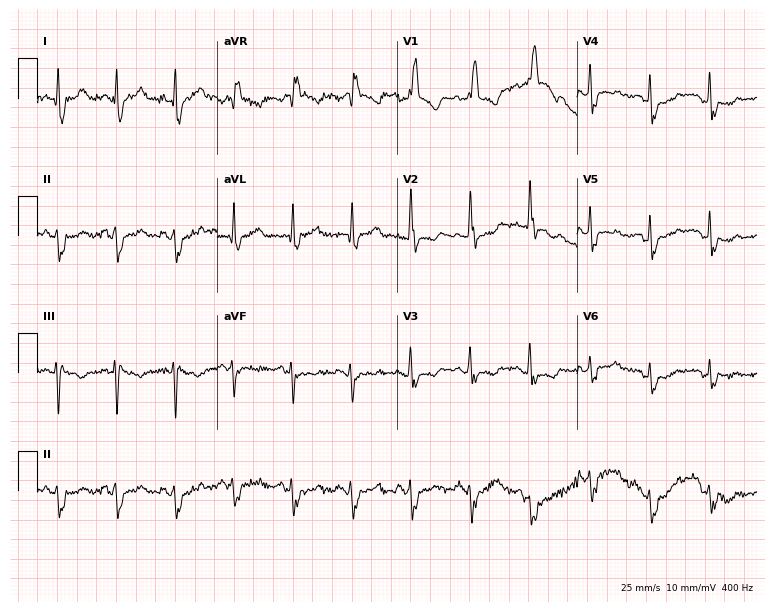
Resting 12-lead electrocardiogram (7.3-second recording at 400 Hz). Patient: a 40-year-old male. None of these six findings is recorded: first-degree AV block, right bundle branch block, left bundle branch block, sinus bradycardia, atrial fibrillation, sinus tachycardia.